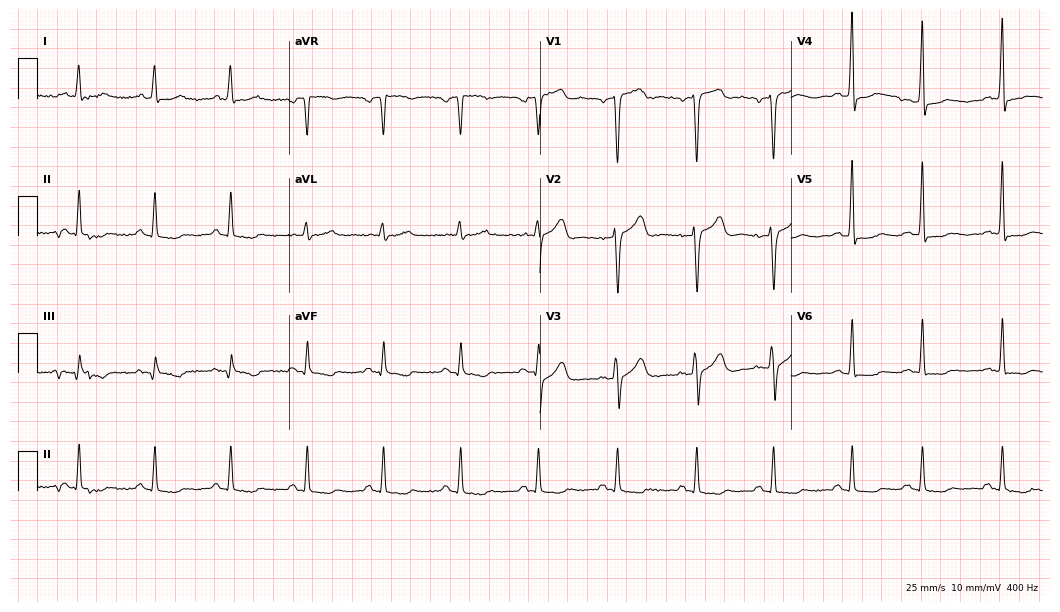
Resting 12-lead electrocardiogram (10.2-second recording at 400 Hz). Patient: a male, 66 years old. None of these six findings is recorded: first-degree AV block, right bundle branch block, left bundle branch block, sinus bradycardia, atrial fibrillation, sinus tachycardia.